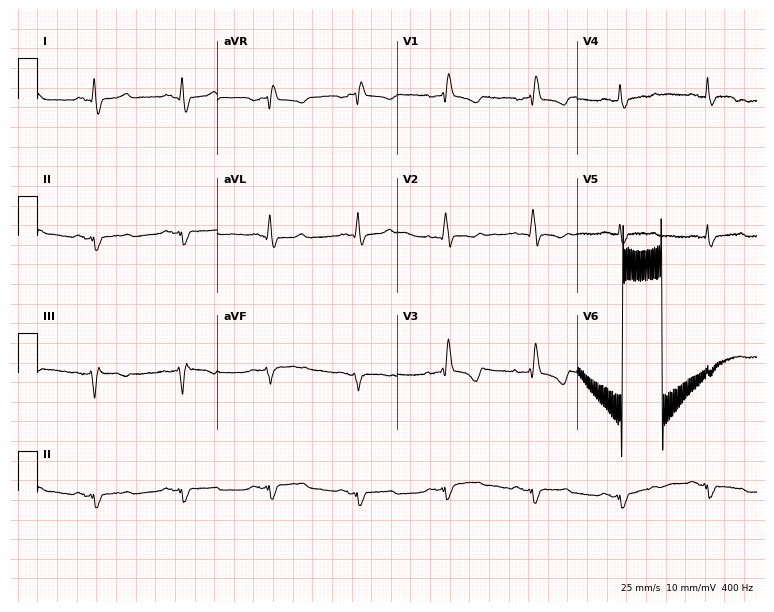
Standard 12-lead ECG recorded from a 56-year-old woman. None of these six findings is recorded: first-degree AV block, right bundle branch block (RBBB), left bundle branch block (LBBB), sinus bradycardia, atrial fibrillation (AF), sinus tachycardia.